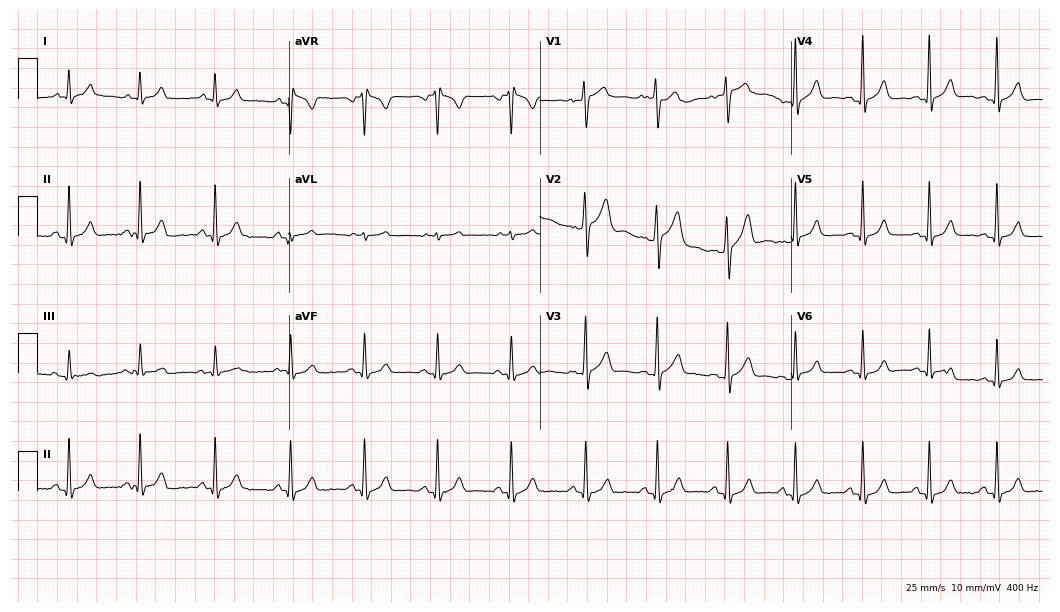
Electrocardiogram, a 30-year-old man. Of the six screened findings (first-degree AV block, right bundle branch block, left bundle branch block, sinus bradycardia, atrial fibrillation, sinus tachycardia), none is recorded.